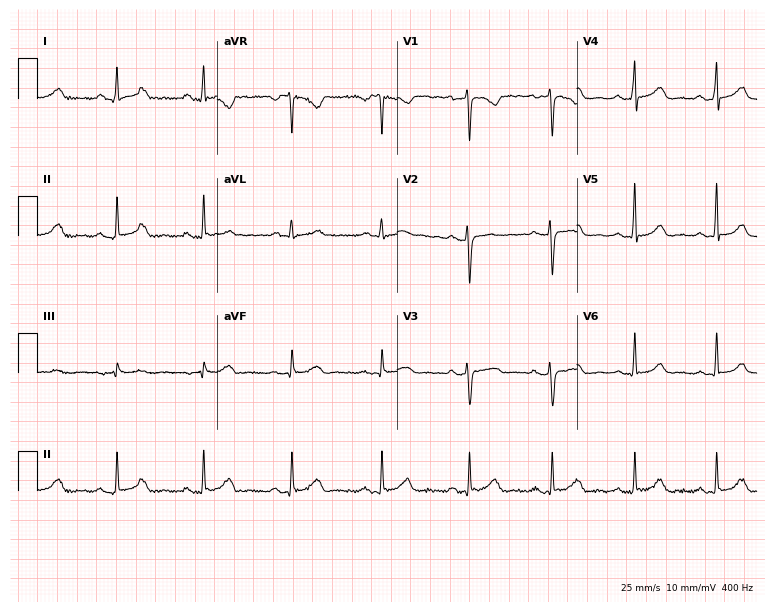
Electrocardiogram (7.3-second recording at 400 Hz), a woman, 35 years old. Of the six screened findings (first-degree AV block, right bundle branch block, left bundle branch block, sinus bradycardia, atrial fibrillation, sinus tachycardia), none is recorded. Other findings, if any, are not listed.